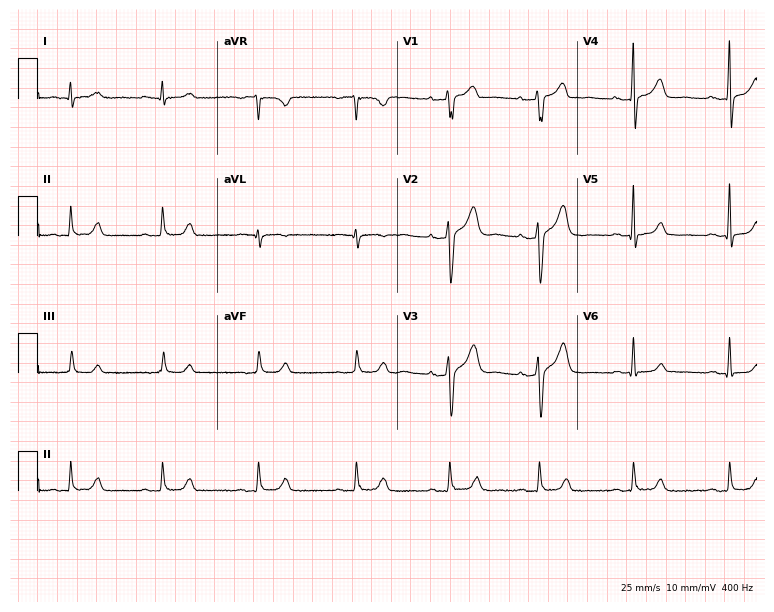
ECG — a man, 38 years old. Screened for six findings — first-degree AV block, right bundle branch block, left bundle branch block, sinus bradycardia, atrial fibrillation, sinus tachycardia — none is recorded.